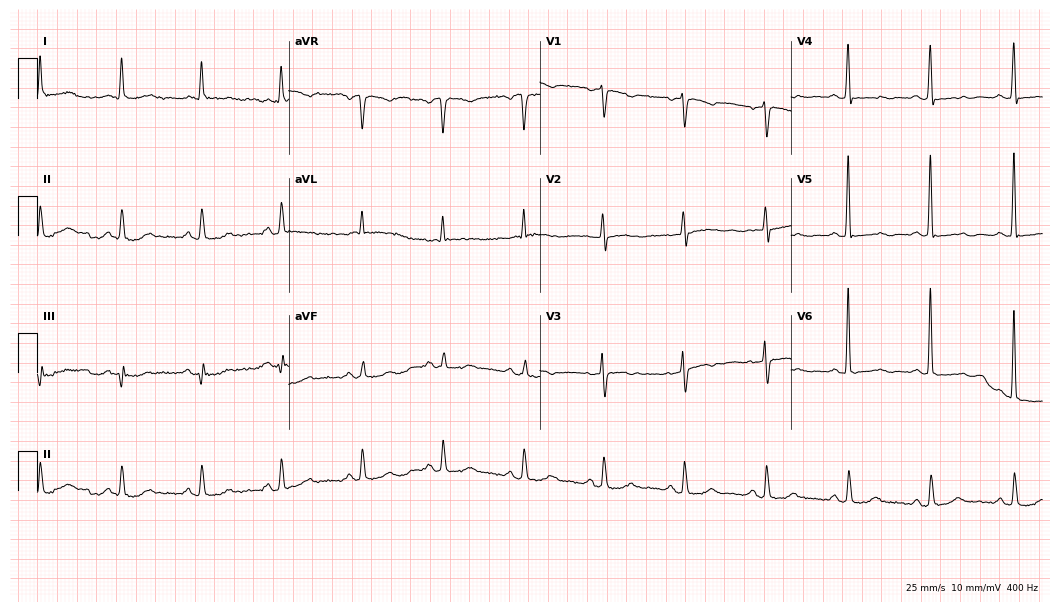
Electrocardiogram, a female patient, 77 years old. Of the six screened findings (first-degree AV block, right bundle branch block, left bundle branch block, sinus bradycardia, atrial fibrillation, sinus tachycardia), none is recorded.